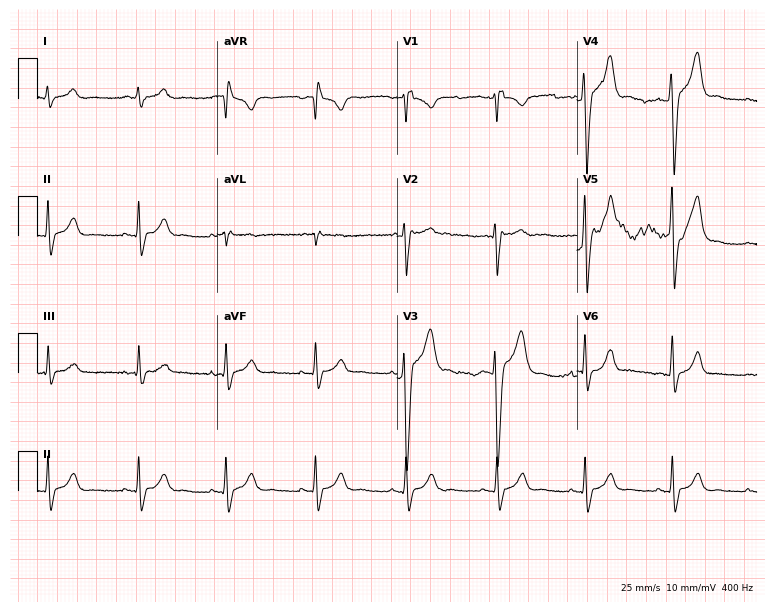
12-lead ECG (7.3-second recording at 400 Hz) from a male, 28 years old. Findings include right bundle branch block.